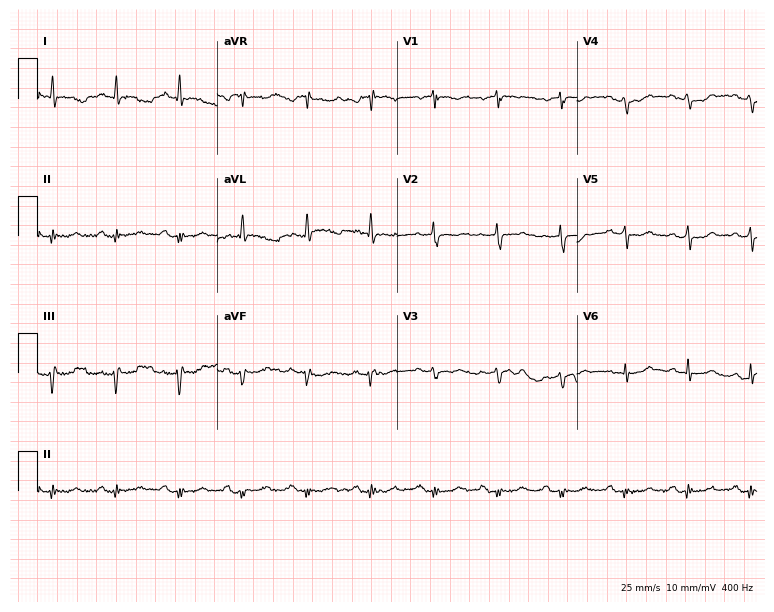
12-lead ECG (7.3-second recording at 400 Hz) from a 73-year-old female patient. Screened for six findings — first-degree AV block, right bundle branch block, left bundle branch block, sinus bradycardia, atrial fibrillation, sinus tachycardia — none is recorded. Other findings, if any, are not listed.